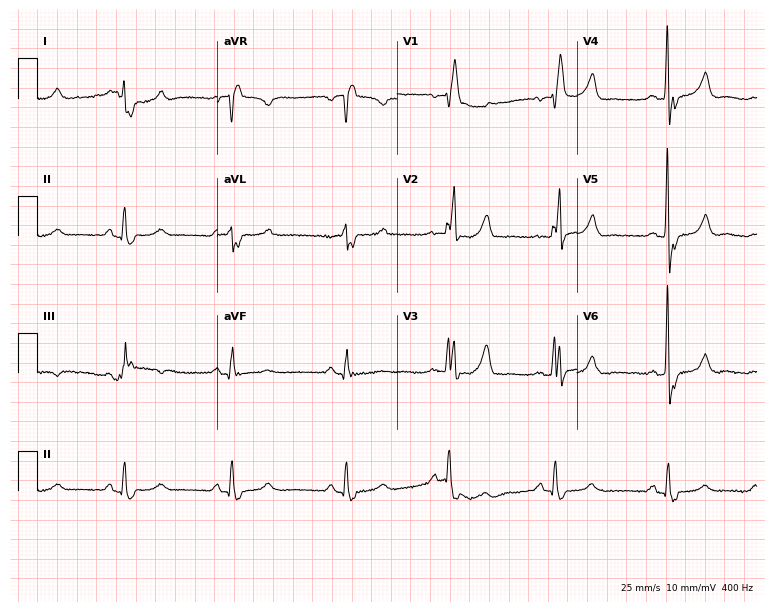
Resting 12-lead electrocardiogram. Patient: a male, 48 years old. The tracing shows right bundle branch block.